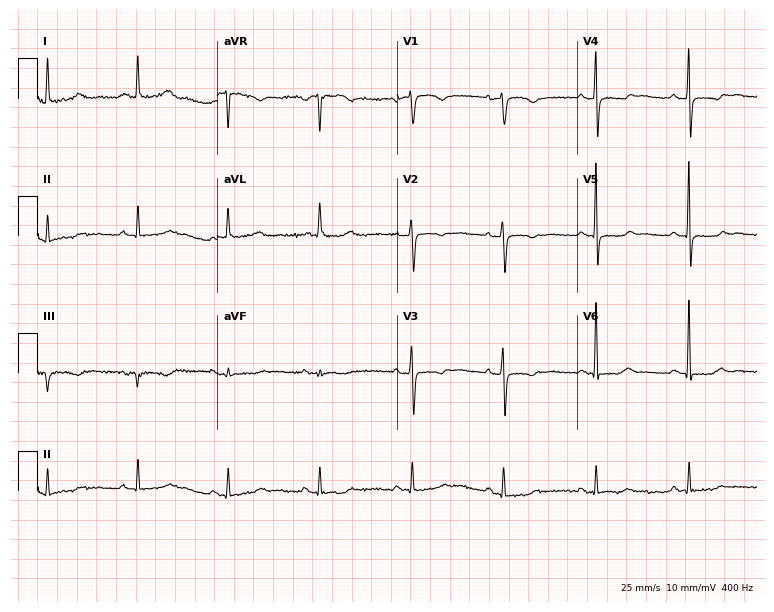
Resting 12-lead electrocardiogram (7.3-second recording at 400 Hz). Patient: an 82-year-old woman. None of these six findings is recorded: first-degree AV block, right bundle branch block, left bundle branch block, sinus bradycardia, atrial fibrillation, sinus tachycardia. Findings outside these six are not listed.